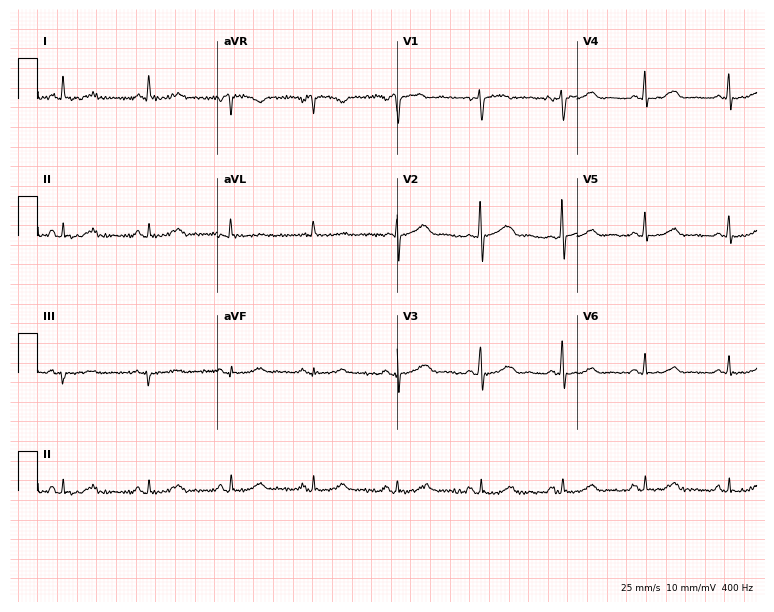
Electrocardiogram, a female, 61 years old. Of the six screened findings (first-degree AV block, right bundle branch block, left bundle branch block, sinus bradycardia, atrial fibrillation, sinus tachycardia), none is recorded.